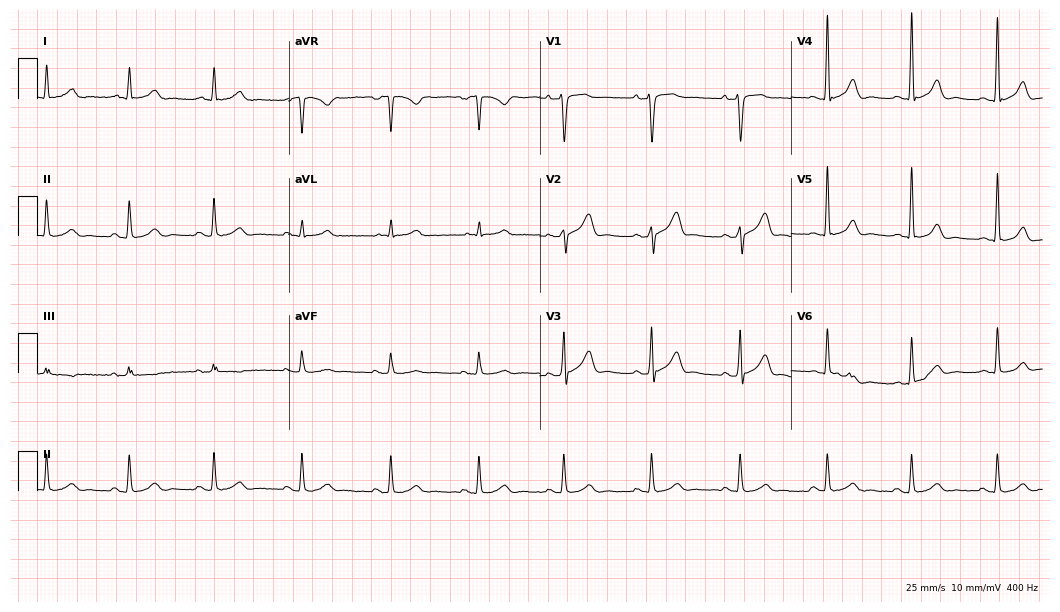
12-lead ECG (10.2-second recording at 400 Hz) from a 59-year-old male. Labelled as a normal ECG.